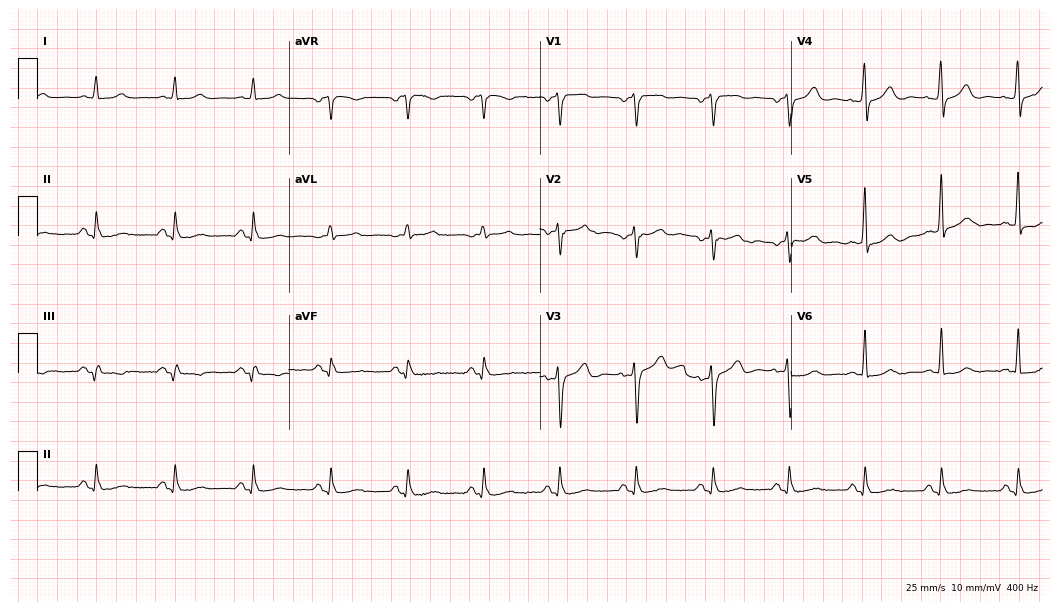
Standard 12-lead ECG recorded from a man, 64 years old. Read as a normal ECG.